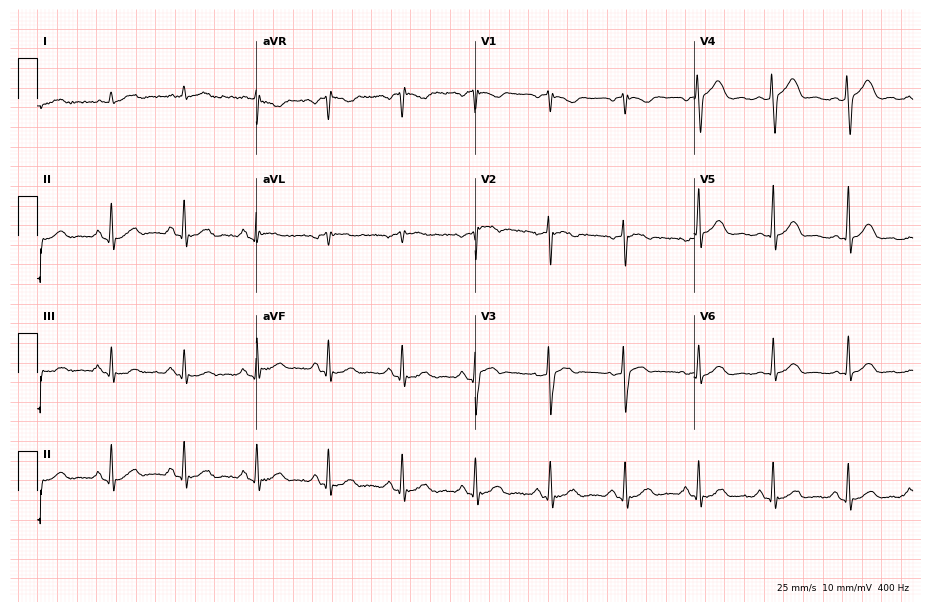
Electrocardiogram, a 76-year-old man. Overall reading on record: normal ECG.